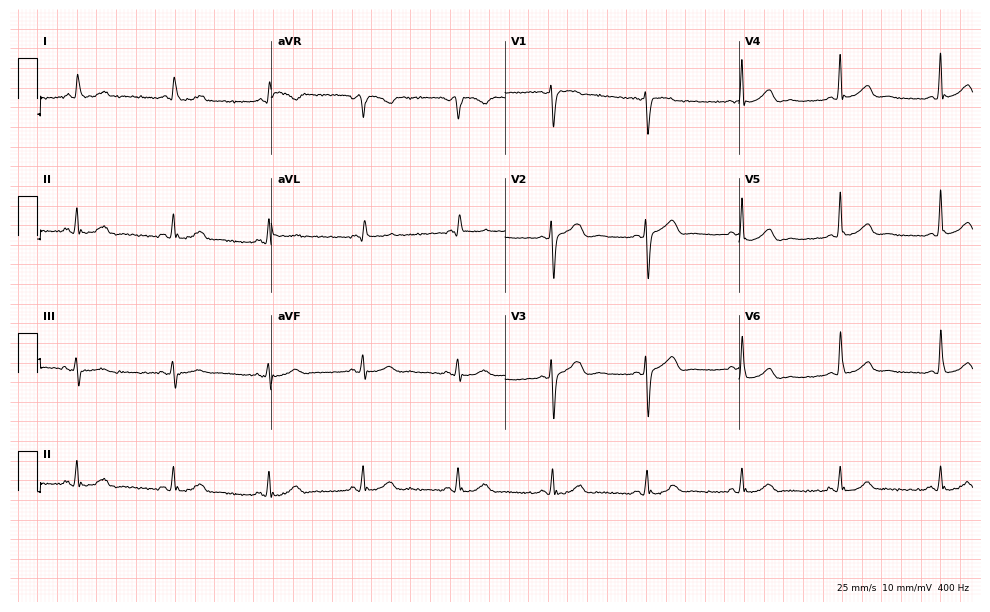
12-lead ECG from a male patient, 62 years old (9.5-second recording at 400 Hz). Recorded interpretation: within normal limits.